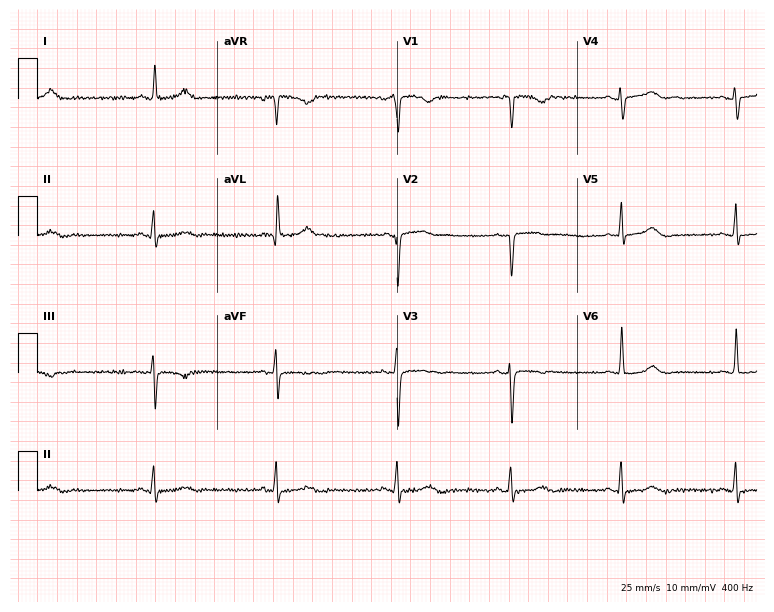
Standard 12-lead ECG recorded from a woman, 67 years old (7.3-second recording at 400 Hz). Read as a normal ECG.